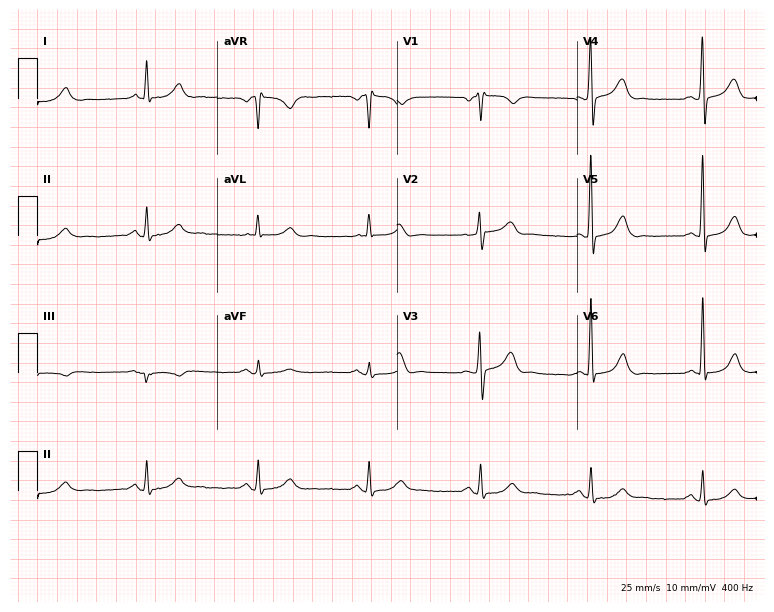
12-lead ECG from a 65-year-old male patient. Screened for six findings — first-degree AV block, right bundle branch block, left bundle branch block, sinus bradycardia, atrial fibrillation, sinus tachycardia — none is recorded. Only these six findings were labelled.